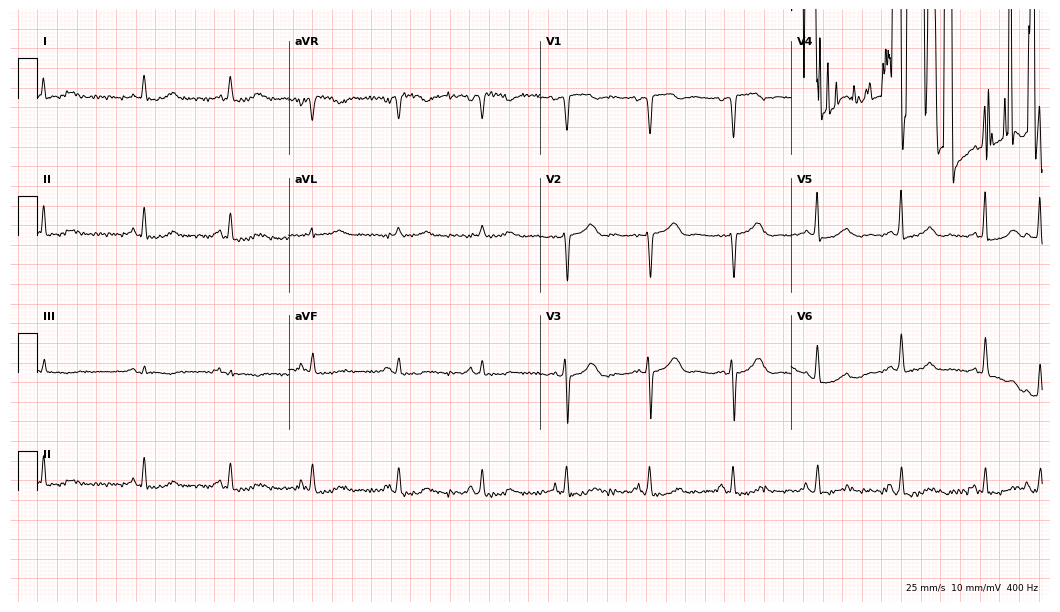
12-lead ECG (10.2-second recording at 400 Hz) from a male patient, 78 years old. Screened for six findings — first-degree AV block, right bundle branch block, left bundle branch block, sinus bradycardia, atrial fibrillation, sinus tachycardia — none is recorded. Findings outside these six are not listed.